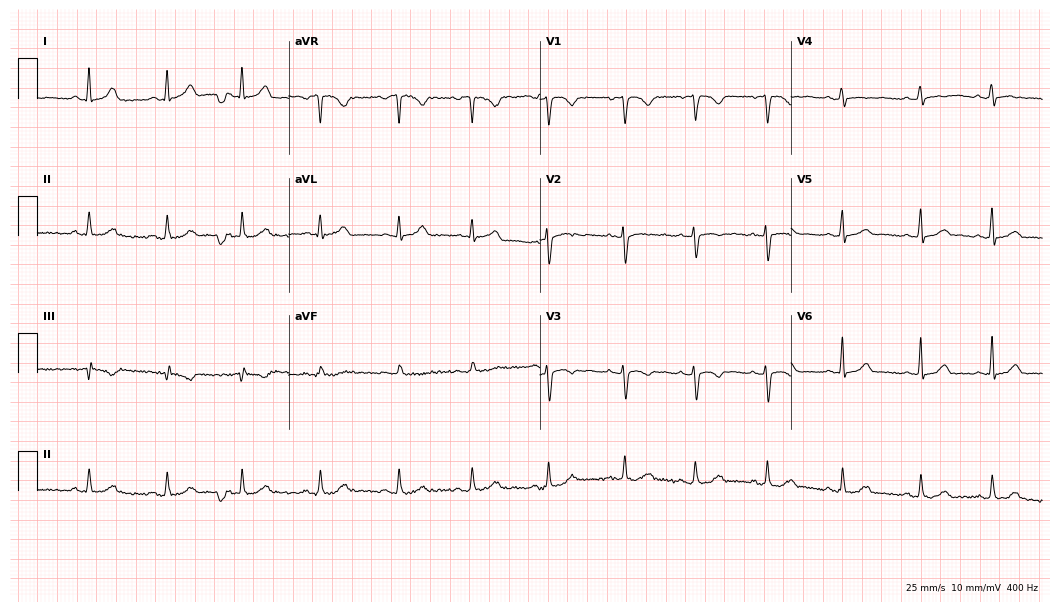
Electrocardiogram (10.2-second recording at 400 Hz), a woman, 18 years old. Overall reading on record: normal ECG.